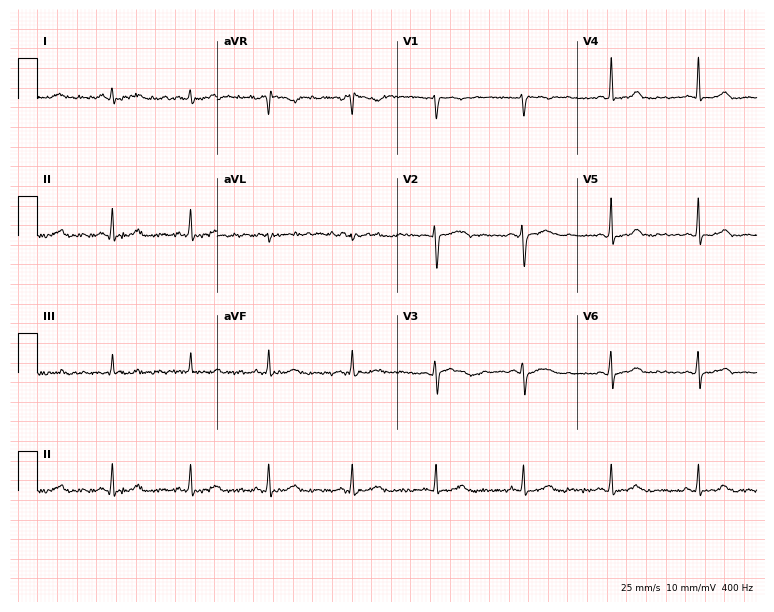
ECG (7.3-second recording at 400 Hz) — a female, 38 years old. Labelled as a normal ECG.